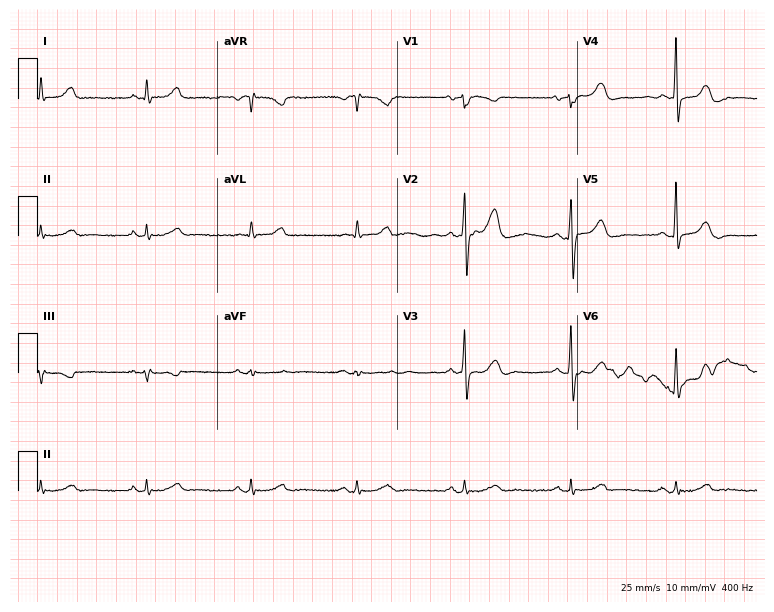
ECG — an 80-year-old man. Labelled as a normal ECG.